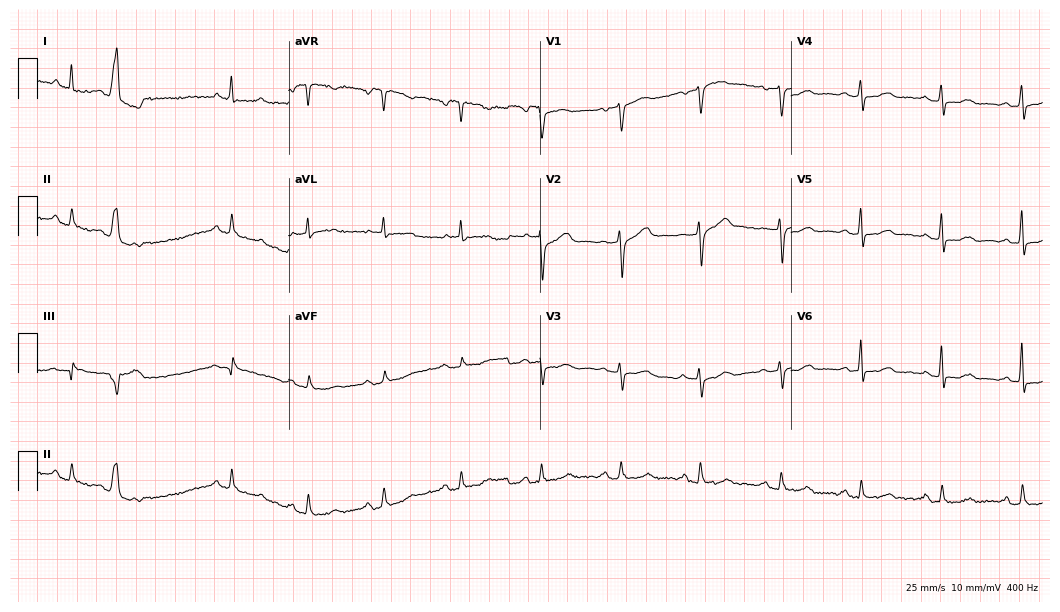
12-lead ECG from a 58-year-old woman (10.2-second recording at 400 Hz). No first-degree AV block, right bundle branch block, left bundle branch block, sinus bradycardia, atrial fibrillation or sinus tachycardia recorded for this tracing. Only these six findings were labelled.